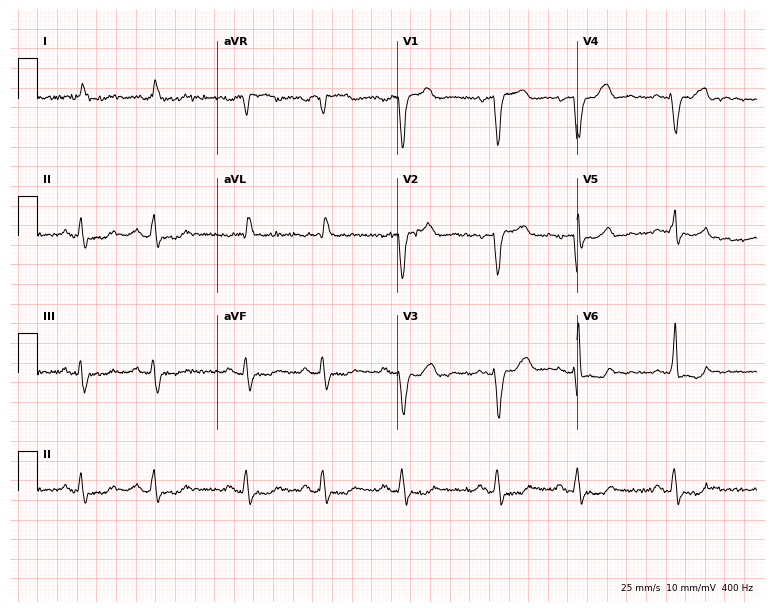
Electrocardiogram, a female patient, 69 years old. Interpretation includes left bundle branch block (LBBB).